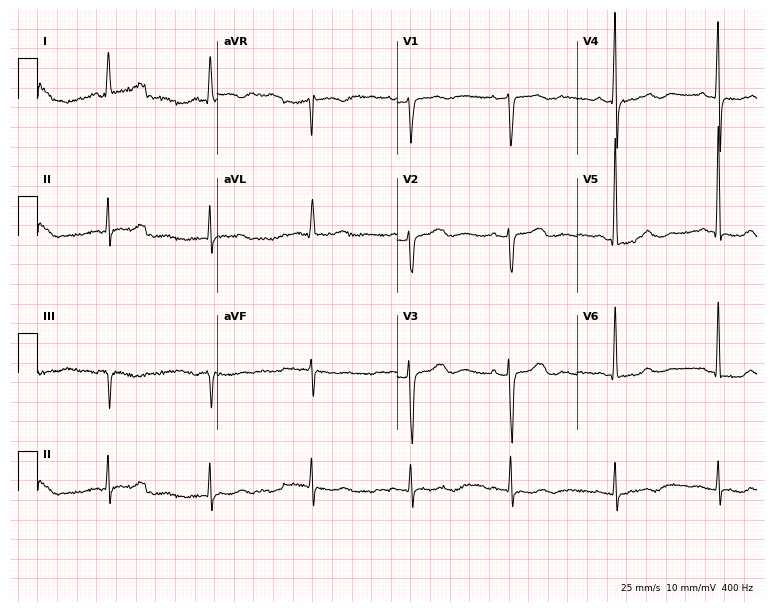
Electrocardiogram (7.3-second recording at 400 Hz), an 80-year-old woman. Of the six screened findings (first-degree AV block, right bundle branch block (RBBB), left bundle branch block (LBBB), sinus bradycardia, atrial fibrillation (AF), sinus tachycardia), none is recorded. Only these six findings were labelled.